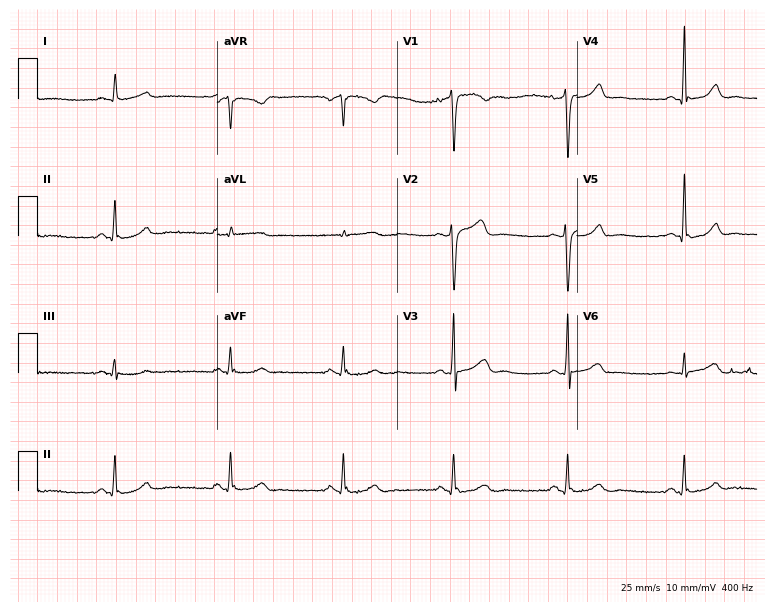
Resting 12-lead electrocardiogram (7.3-second recording at 400 Hz). Patient: a 43-year-old male. None of these six findings is recorded: first-degree AV block, right bundle branch block (RBBB), left bundle branch block (LBBB), sinus bradycardia, atrial fibrillation (AF), sinus tachycardia.